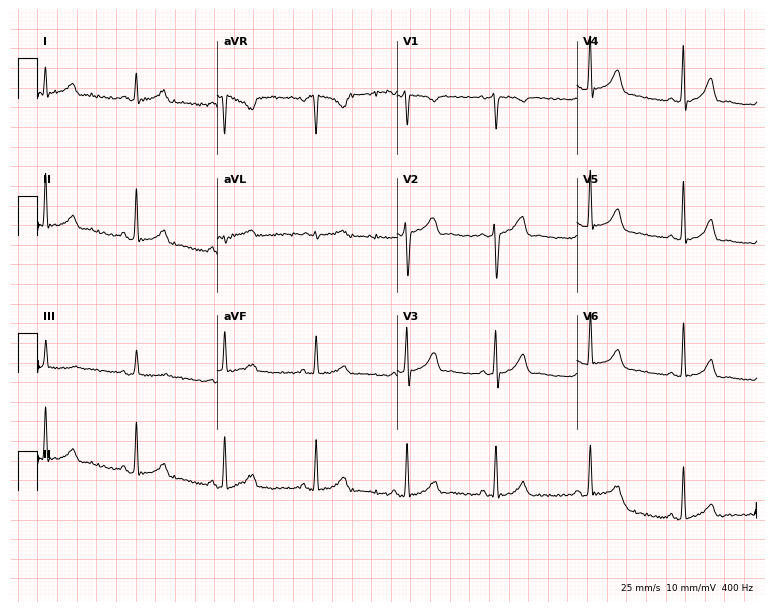
Electrocardiogram, a female patient, 30 years old. Of the six screened findings (first-degree AV block, right bundle branch block, left bundle branch block, sinus bradycardia, atrial fibrillation, sinus tachycardia), none is recorded. Other findings, if any, are not listed.